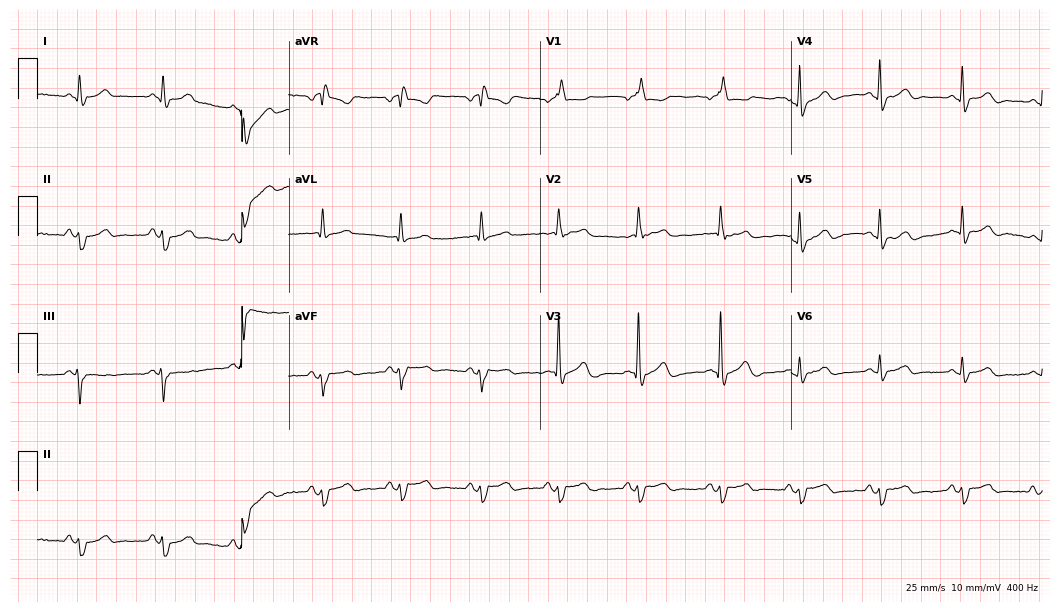
ECG (10.2-second recording at 400 Hz) — an 86-year-old female. Screened for six findings — first-degree AV block, right bundle branch block, left bundle branch block, sinus bradycardia, atrial fibrillation, sinus tachycardia — none is recorded.